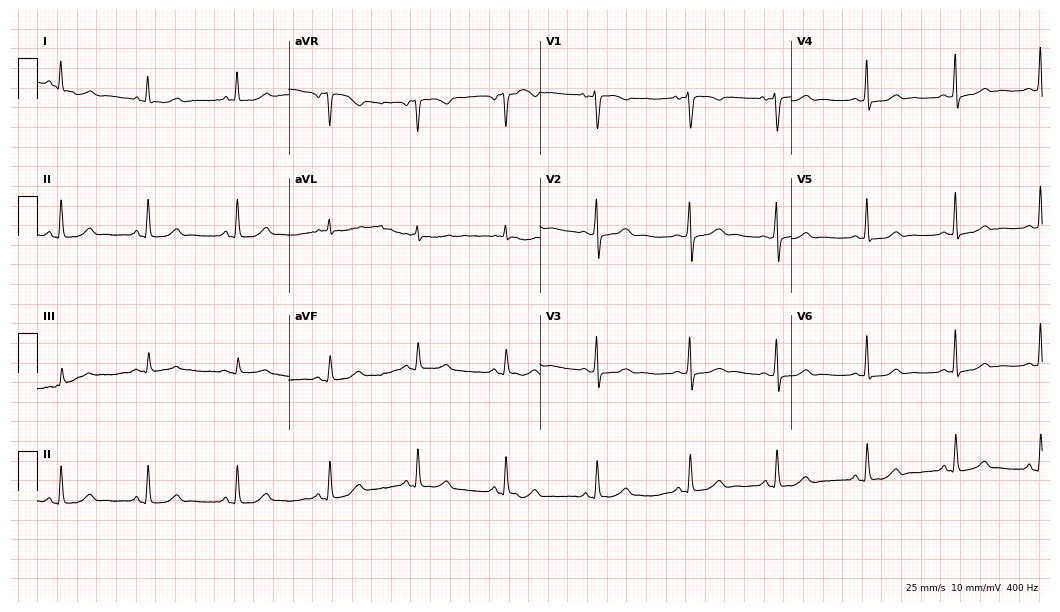
Resting 12-lead electrocardiogram. Patient: a 32-year-old female. Read as a normal ECG.